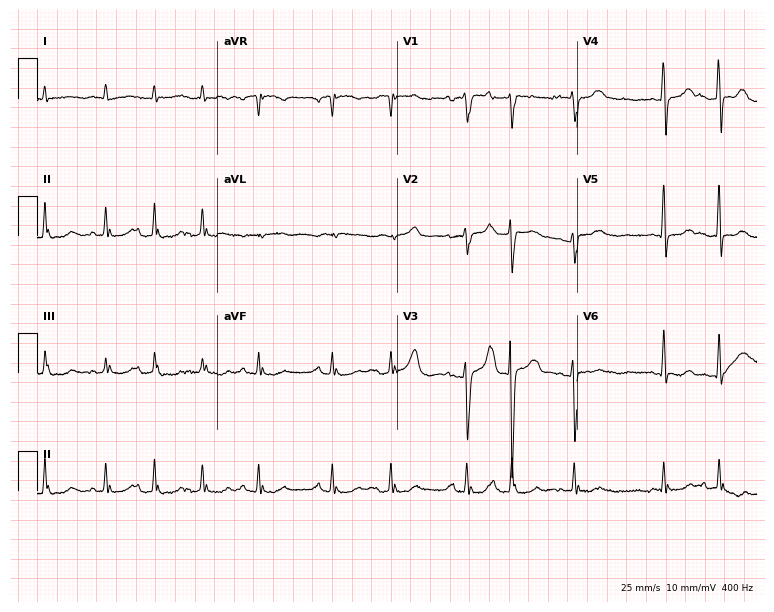
Resting 12-lead electrocardiogram. Patient: a 79-year-old male. None of these six findings is recorded: first-degree AV block, right bundle branch block, left bundle branch block, sinus bradycardia, atrial fibrillation, sinus tachycardia. Only these six findings were labelled.